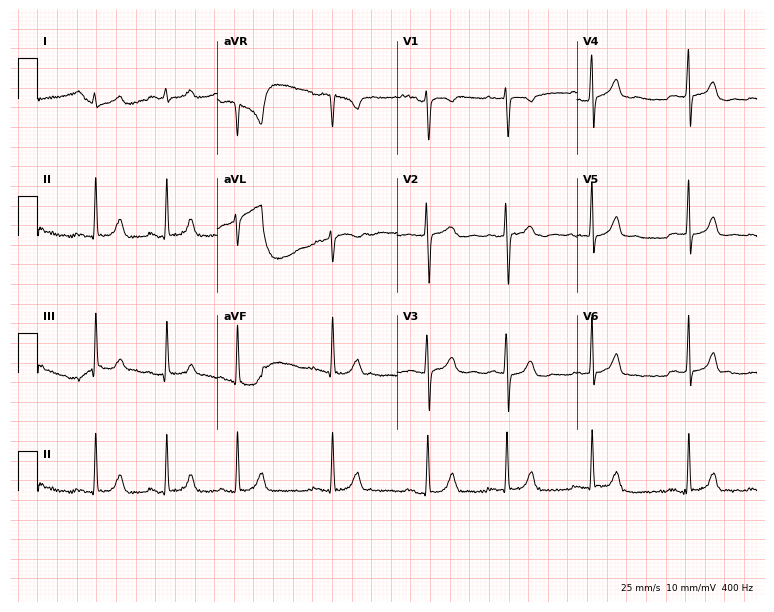
12-lead ECG from a female patient, 17 years old. Screened for six findings — first-degree AV block, right bundle branch block (RBBB), left bundle branch block (LBBB), sinus bradycardia, atrial fibrillation (AF), sinus tachycardia — none is recorded. Findings outside these six are not listed.